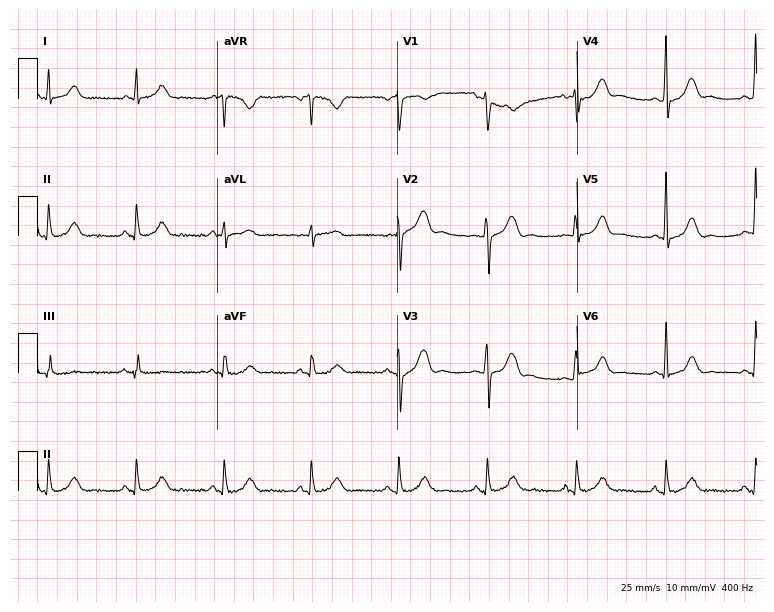
ECG — a 43-year-old female. Screened for six findings — first-degree AV block, right bundle branch block, left bundle branch block, sinus bradycardia, atrial fibrillation, sinus tachycardia — none is recorded.